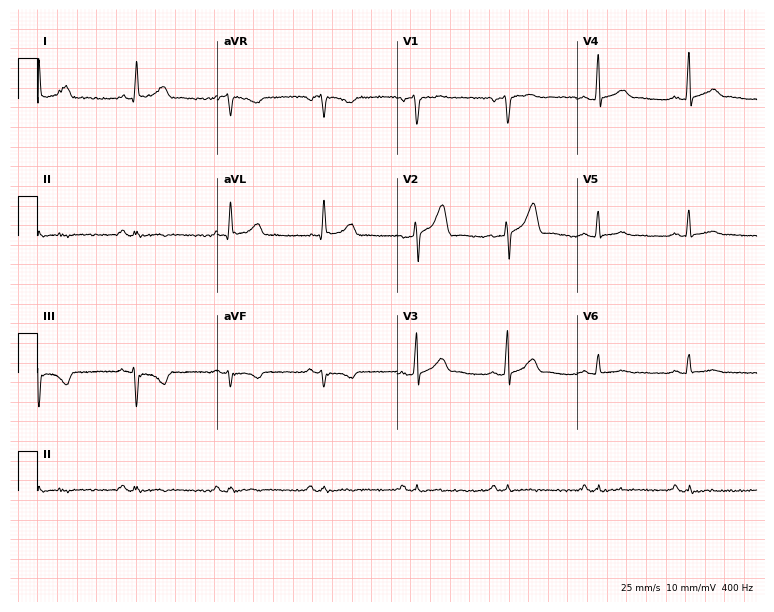
12-lead ECG from a 59-year-old man. Screened for six findings — first-degree AV block, right bundle branch block, left bundle branch block, sinus bradycardia, atrial fibrillation, sinus tachycardia — none is recorded.